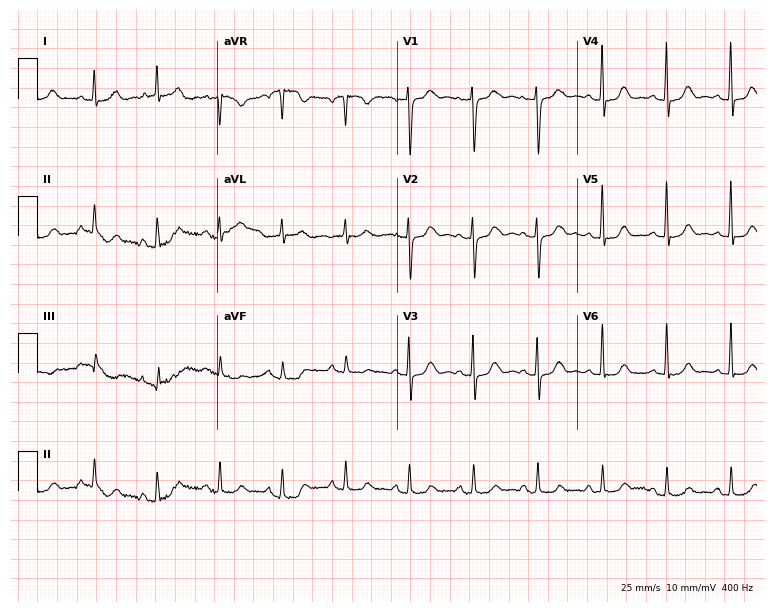
ECG (7.3-second recording at 400 Hz) — an 80-year-old female patient. Screened for six findings — first-degree AV block, right bundle branch block, left bundle branch block, sinus bradycardia, atrial fibrillation, sinus tachycardia — none is recorded.